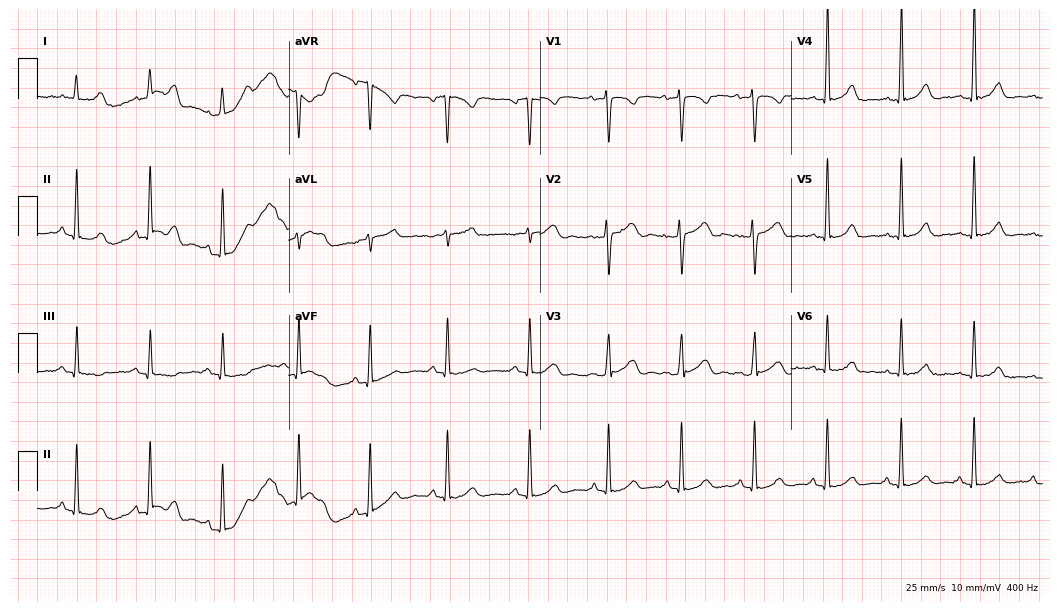
ECG — a 34-year-old female patient. Labelled as a normal ECG.